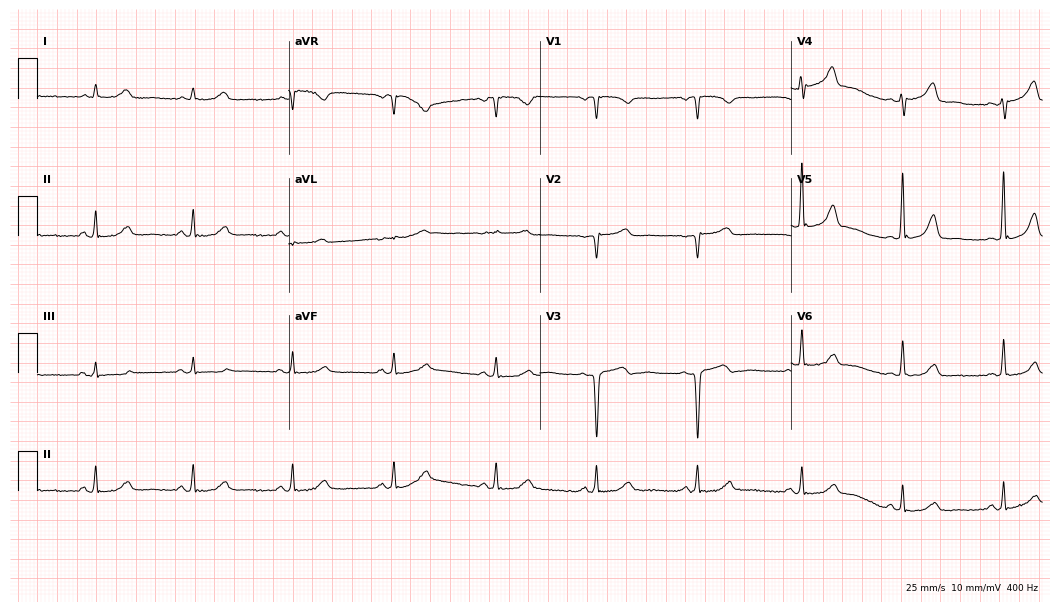
Standard 12-lead ECG recorded from a female, 65 years old. None of these six findings is recorded: first-degree AV block, right bundle branch block (RBBB), left bundle branch block (LBBB), sinus bradycardia, atrial fibrillation (AF), sinus tachycardia. Other findings, if any, are not listed.